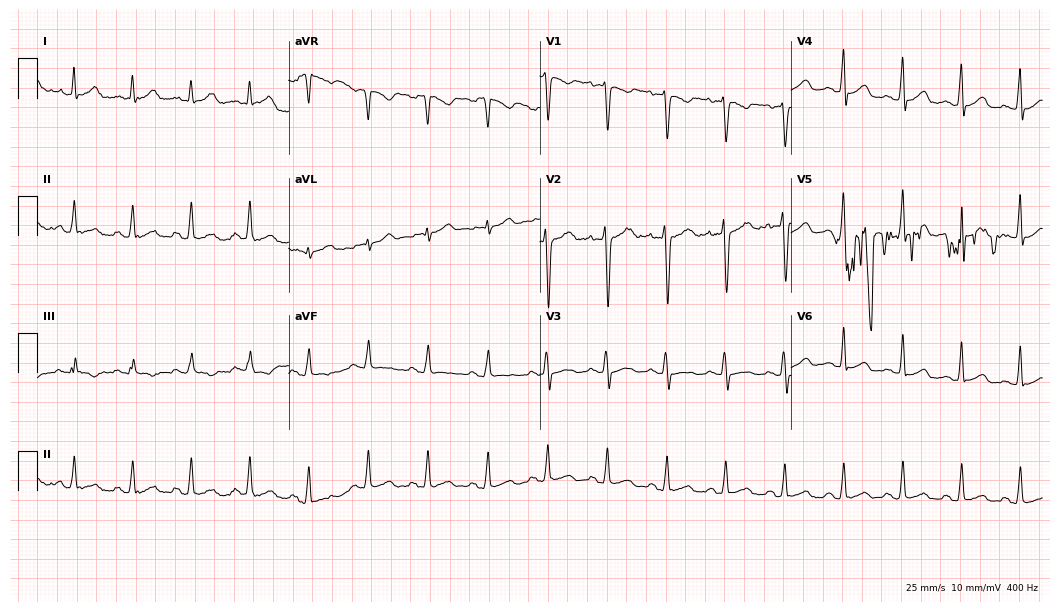
12-lead ECG (10.2-second recording at 400 Hz) from a 30-year-old female patient. Screened for six findings — first-degree AV block, right bundle branch block (RBBB), left bundle branch block (LBBB), sinus bradycardia, atrial fibrillation (AF), sinus tachycardia — none is recorded. Findings outside these six are not listed.